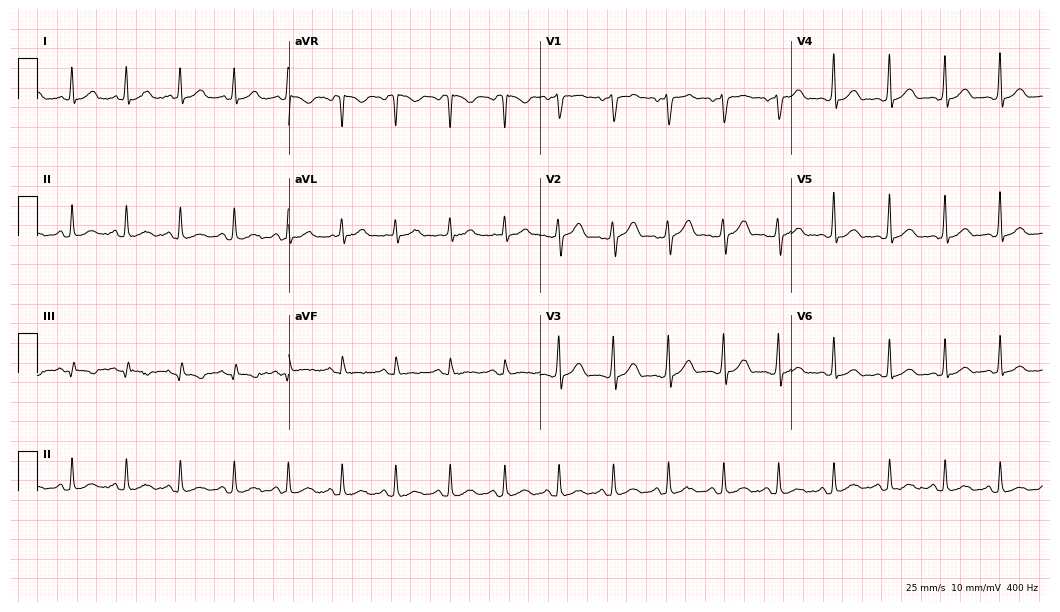
Resting 12-lead electrocardiogram (10.2-second recording at 400 Hz). Patient: a male, 37 years old. None of these six findings is recorded: first-degree AV block, right bundle branch block, left bundle branch block, sinus bradycardia, atrial fibrillation, sinus tachycardia. Other findings, if any, are not listed.